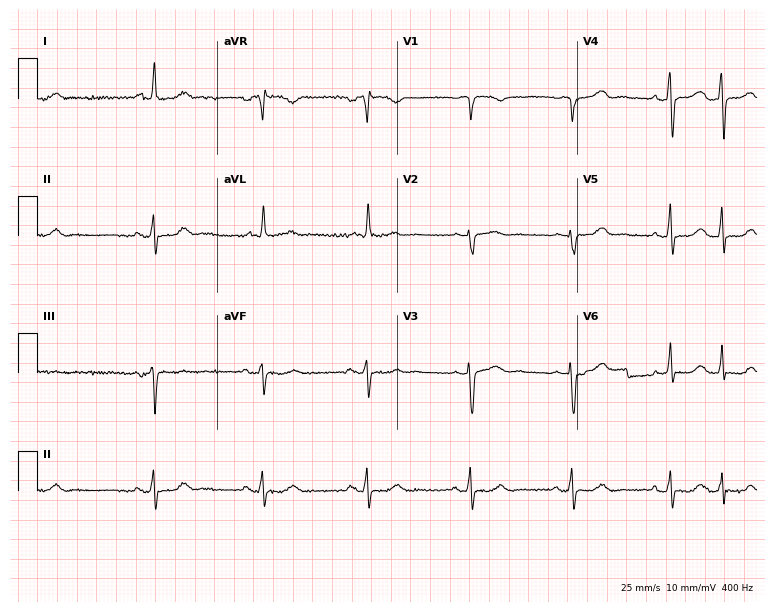
12-lead ECG (7.3-second recording at 400 Hz) from a female patient, 73 years old. Screened for six findings — first-degree AV block, right bundle branch block, left bundle branch block, sinus bradycardia, atrial fibrillation, sinus tachycardia — none is recorded. Other findings, if any, are not listed.